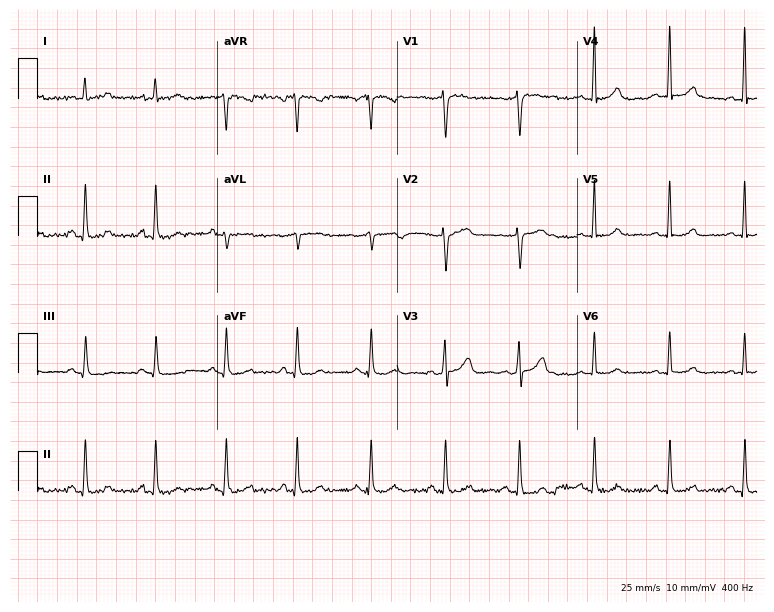
Standard 12-lead ECG recorded from a woman, 45 years old. Read as a normal ECG.